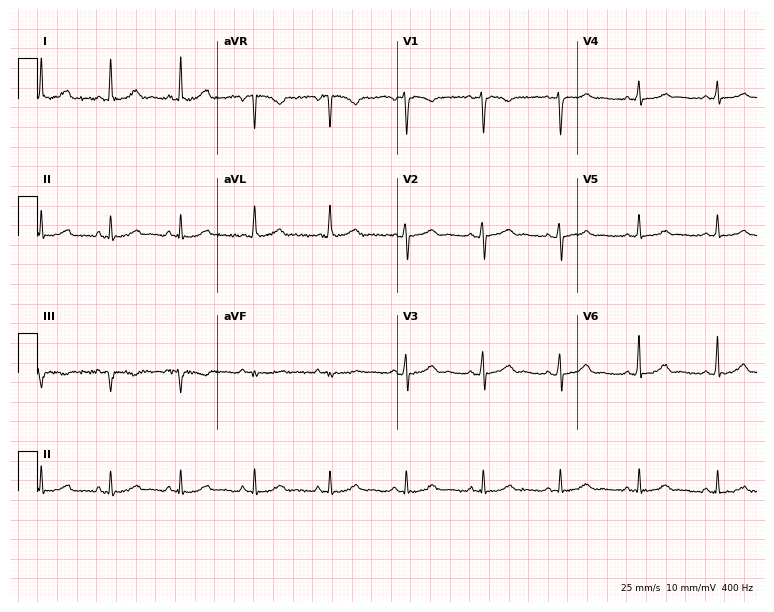
ECG — a female, 42 years old. Labelled as a normal ECG.